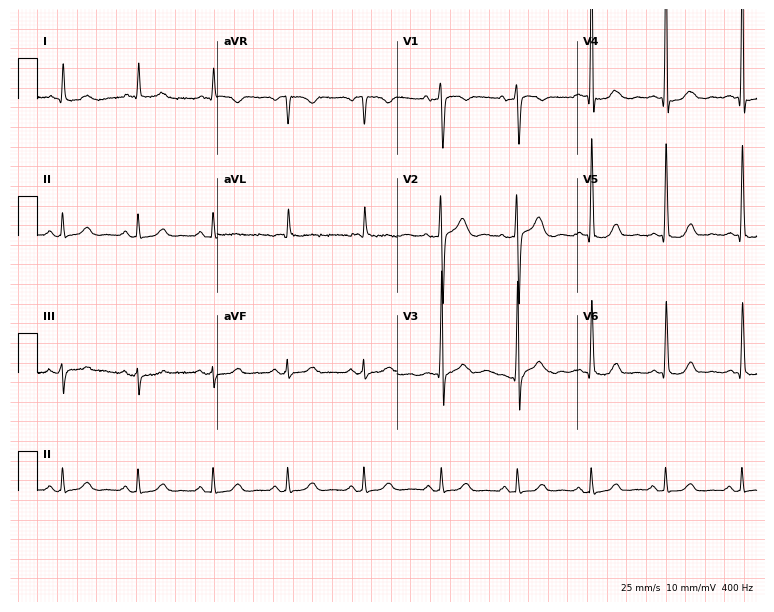
Electrocardiogram (7.3-second recording at 400 Hz), a female patient, 79 years old. Overall reading on record: normal ECG.